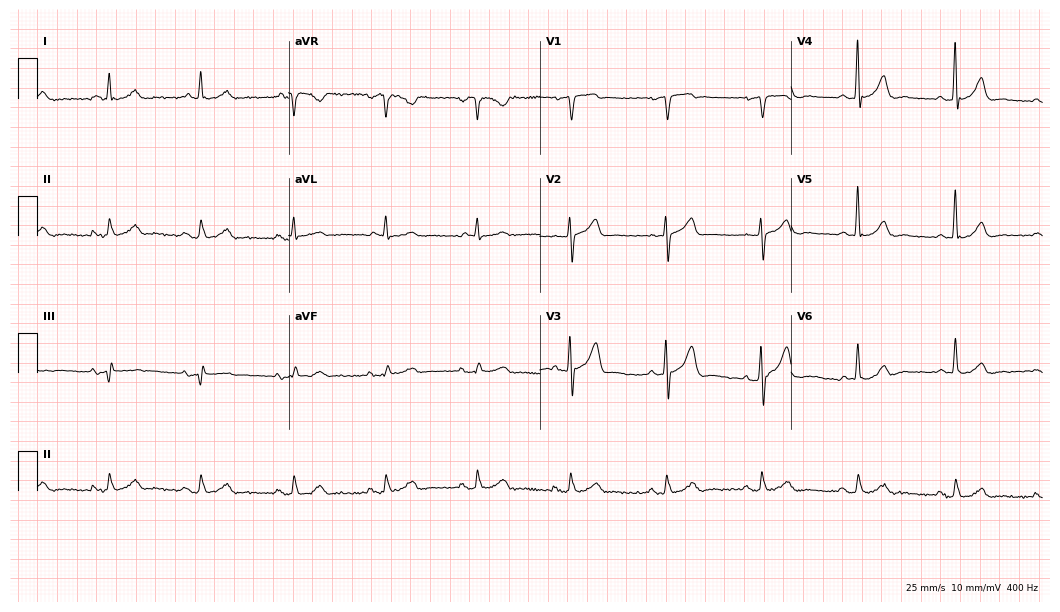
12-lead ECG (10.2-second recording at 400 Hz) from a 70-year-old male. Labelled as a normal ECG.